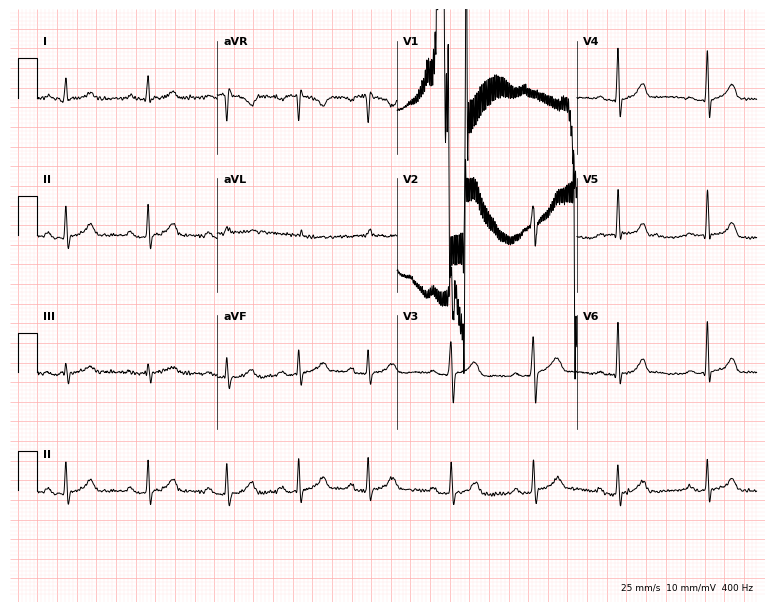
Resting 12-lead electrocardiogram (7.3-second recording at 400 Hz). Patient: a female, 25 years old. Read as a normal ECG.